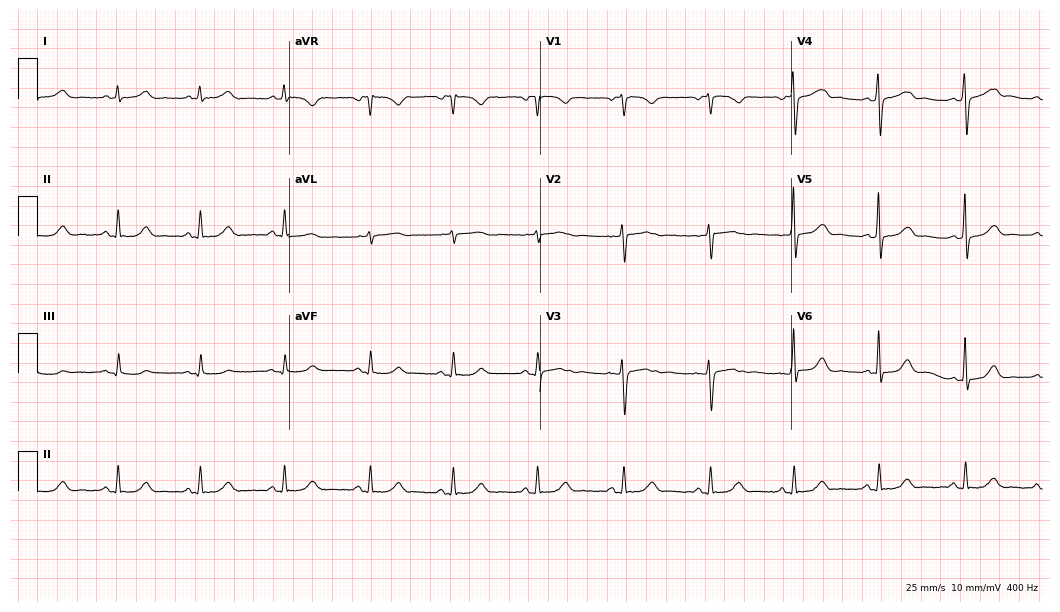
ECG — a female, 40 years old. Labelled as a normal ECG.